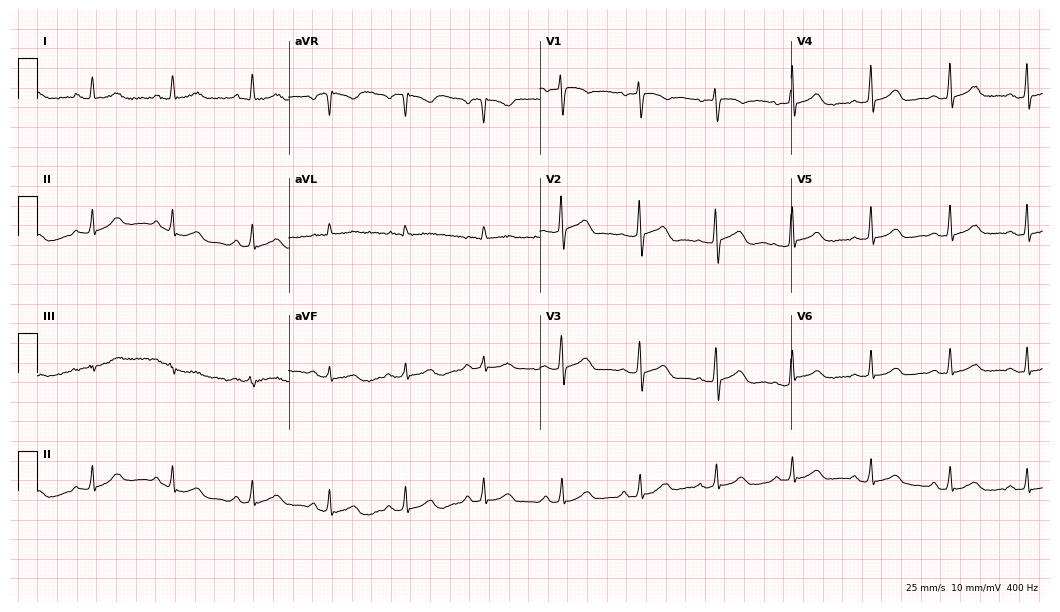
12-lead ECG from a 77-year-old woman. Recorded interpretation: within normal limits.